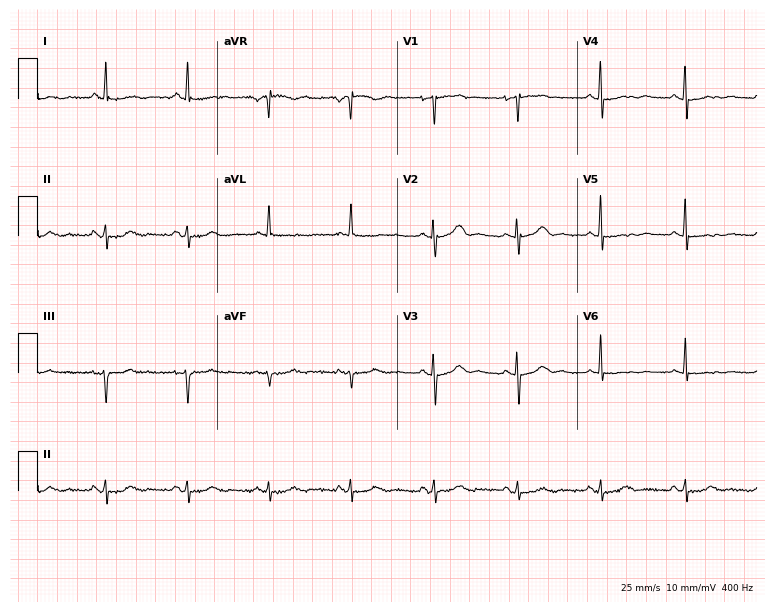
ECG (7.3-second recording at 400 Hz) — a woman, 54 years old. Screened for six findings — first-degree AV block, right bundle branch block (RBBB), left bundle branch block (LBBB), sinus bradycardia, atrial fibrillation (AF), sinus tachycardia — none is recorded. Only these six findings were labelled.